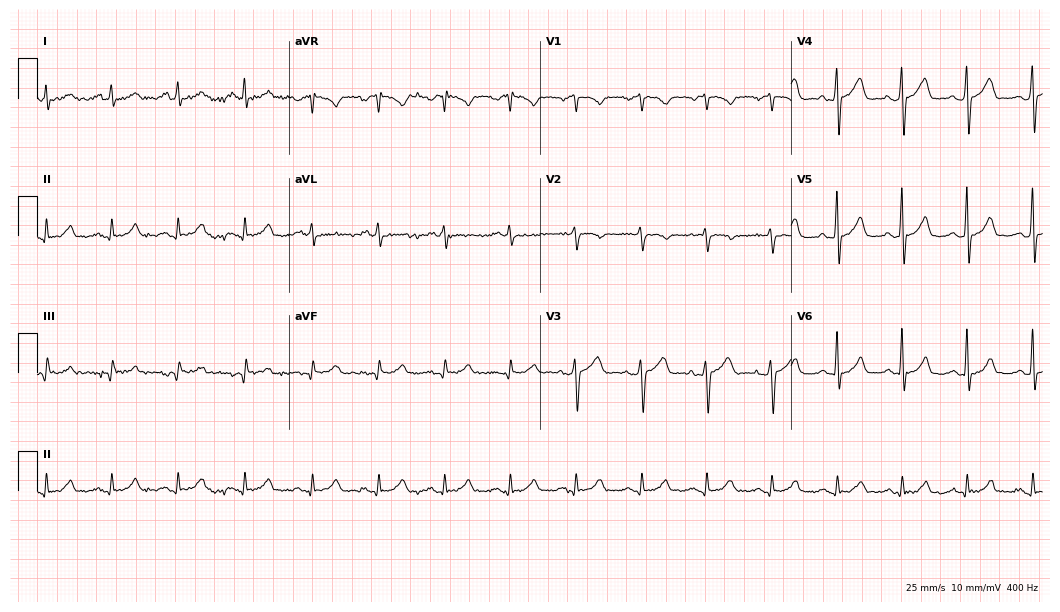
12-lead ECG from a 44-year-old male. Labelled as a normal ECG.